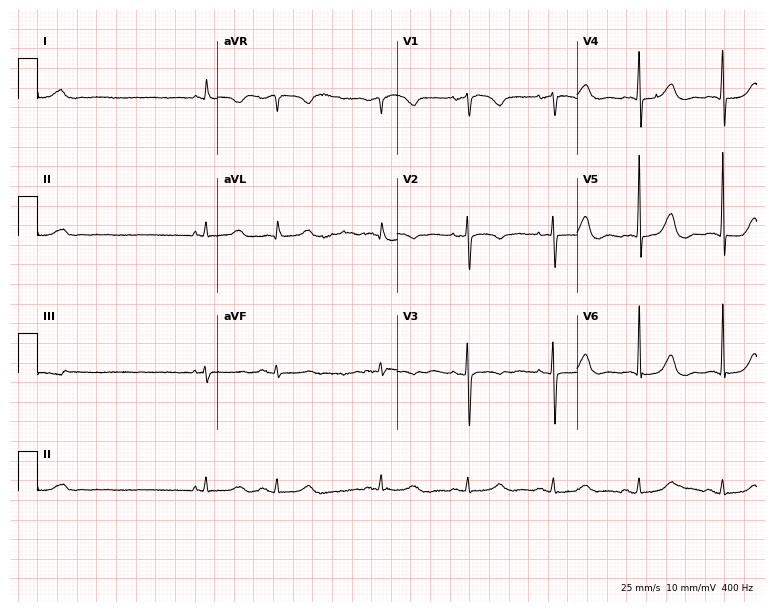
ECG — an 81-year-old woman. Screened for six findings — first-degree AV block, right bundle branch block (RBBB), left bundle branch block (LBBB), sinus bradycardia, atrial fibrillation (AF), sinus tachycardia — none is recorded.